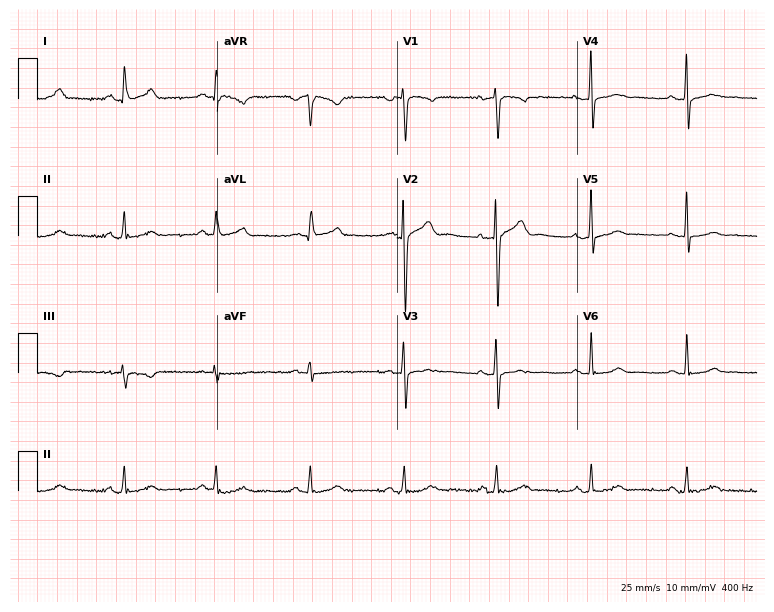
12-lead ECG (7.3-second recording at 400 Hz) from a 50-year-old female. Labelled as a normal ECG.